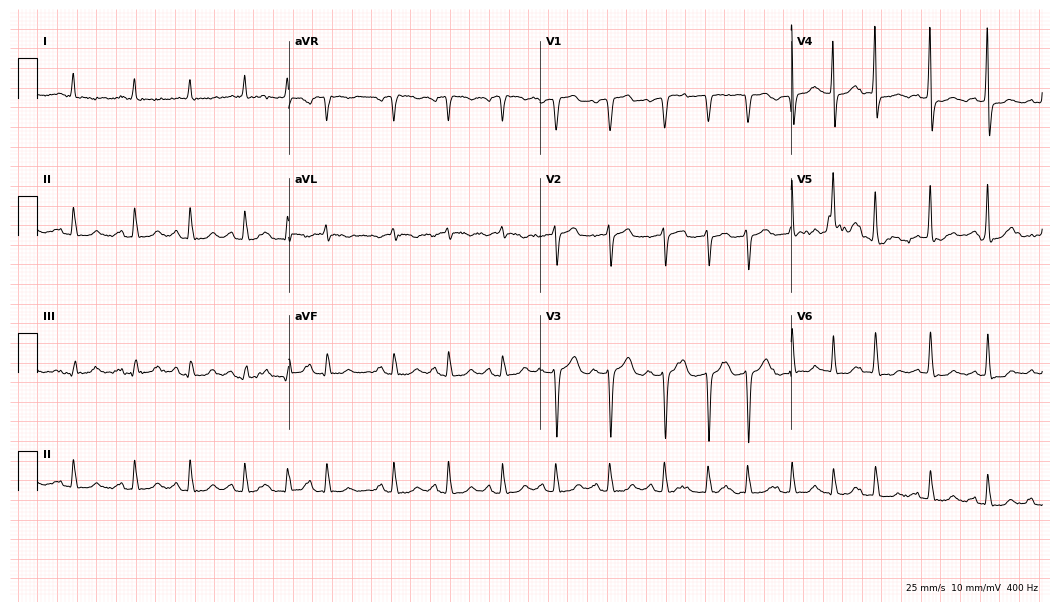
Electrocardiogram (10.2-second recording at 400 Hz), a male, 80 years old. Of the six screened findings (first-degree AV block, right bundle branch block, left bundle branch block, sinus bradycardia, atrial fibrillation, sinus tachycardia), none is recorded. Findings outside these six are not listed.